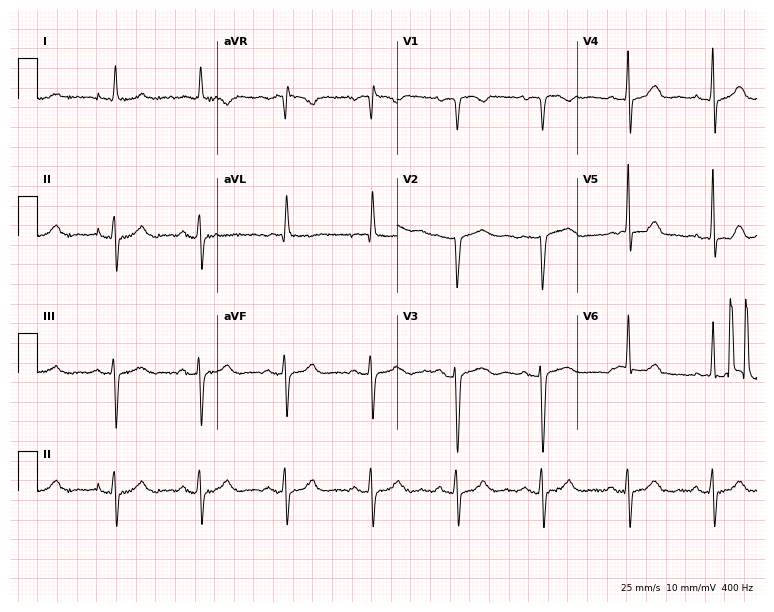
Electrocardiogram, an 81-year-old female. Of the six screened findings (first-degree AV block, right bundle branch block, left bundle branch block, sinus bradycardia, atrial fibrillation, sinus tachycardia), none is recorded. Only these six findings were labelled.